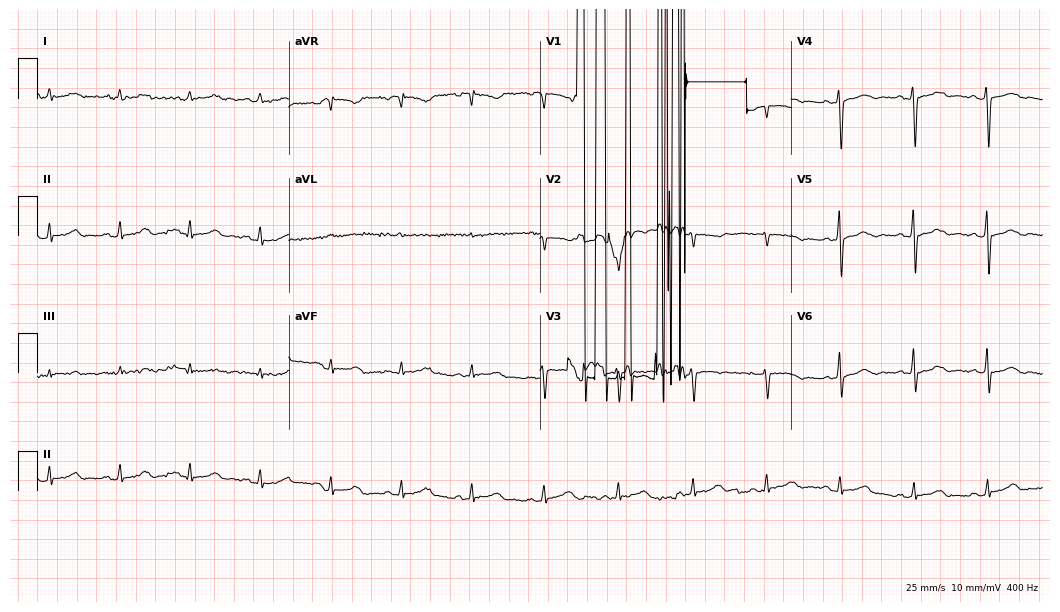
12-lead ECG from a female, 58 years old (10.2-second recording at 400 Hz). No first-degree AV block, right bundle branch block, left bundle branch block, sinus bradycardia, atrial fibrillation or sinus tachycardia recorded for this tracing. Only these six findings were labelled.